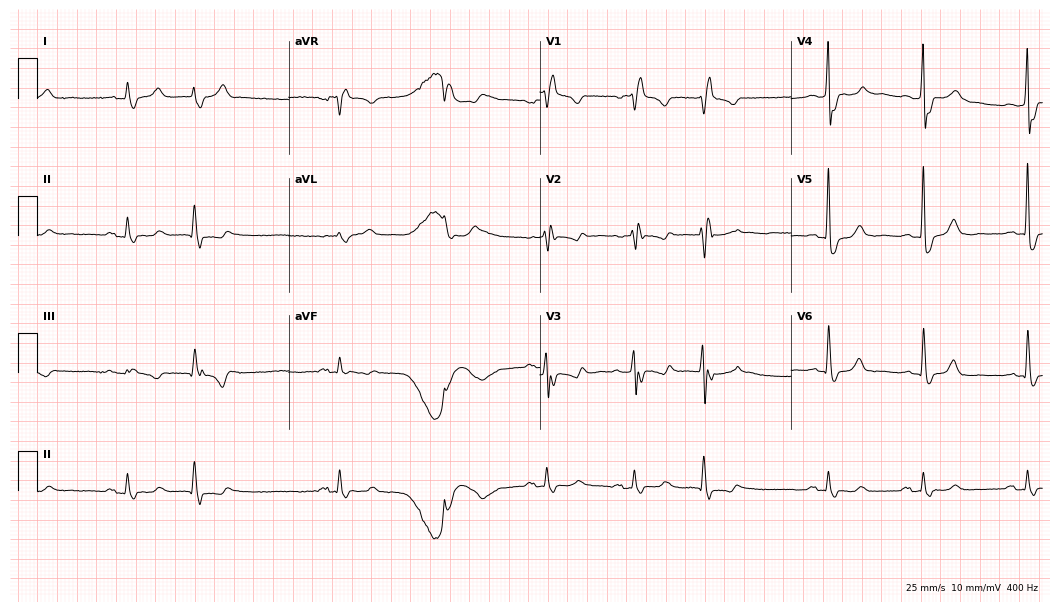
12-lead ECG from a 75-year-old male patient (10.2-second recording at 400 Hz). Shows right bundle branch block.